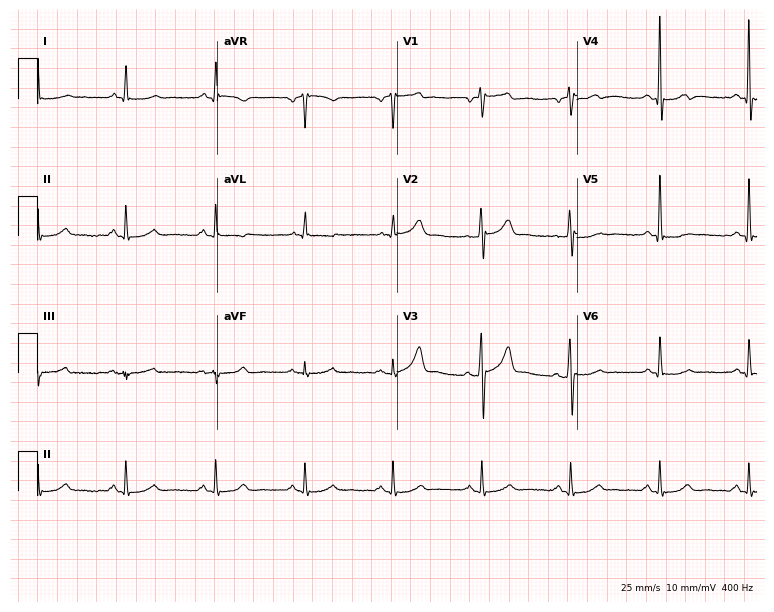
ECG — a 60-year-old male patient. Screened for six findings — first-degree AV block, right bundle branch block (RBBB), left bundle branch block (LBBB), sinus bradycardia, atrial fibrillation (AF), sinus tachycardia — none is recorded.